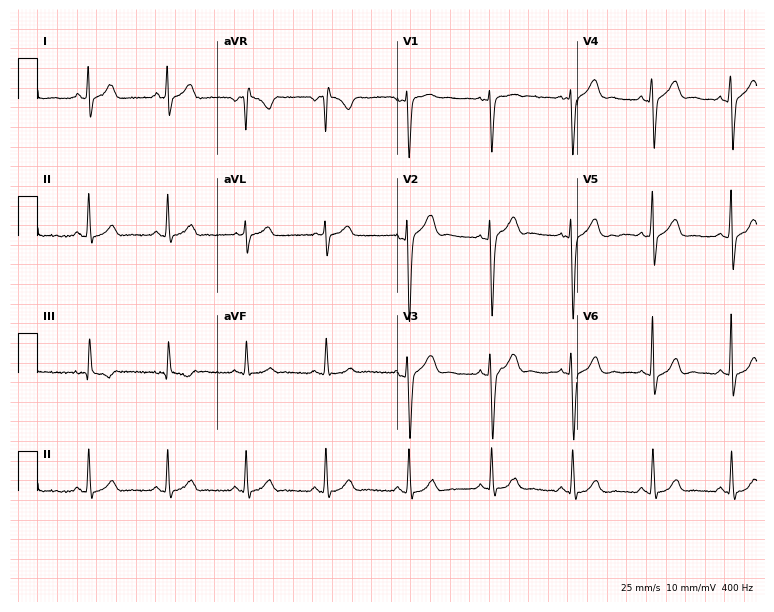
12-lead ECG from a 31-year-old male patient (7.3-second recording at 400 Hz). Recorded interpretation: within normal limits.